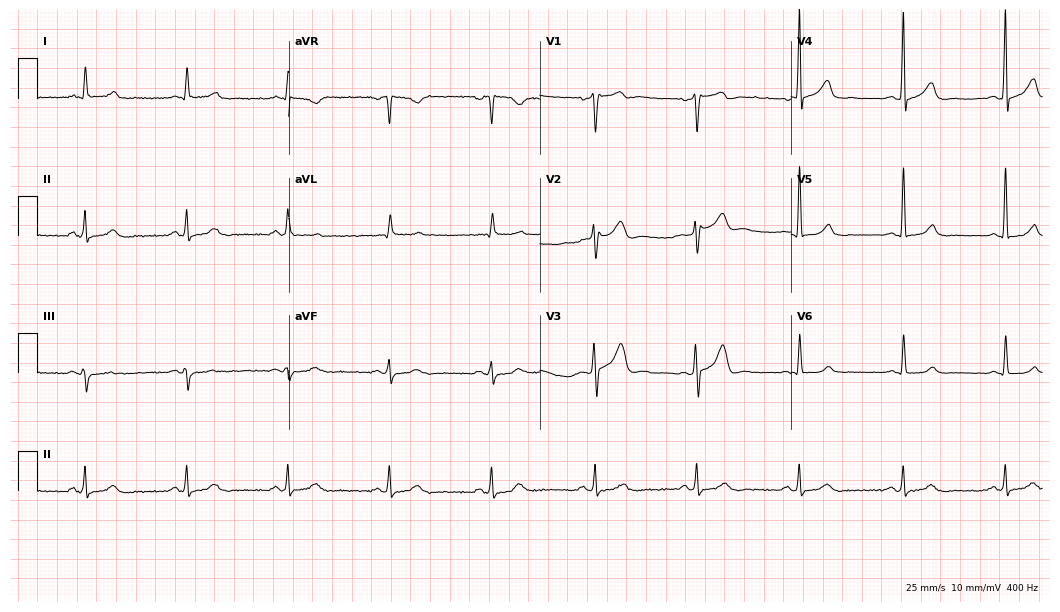
12-lead ECG from a 64-year-old man (10.2-second recording at 400 Hz). Recorded interpretation: within normal limits.